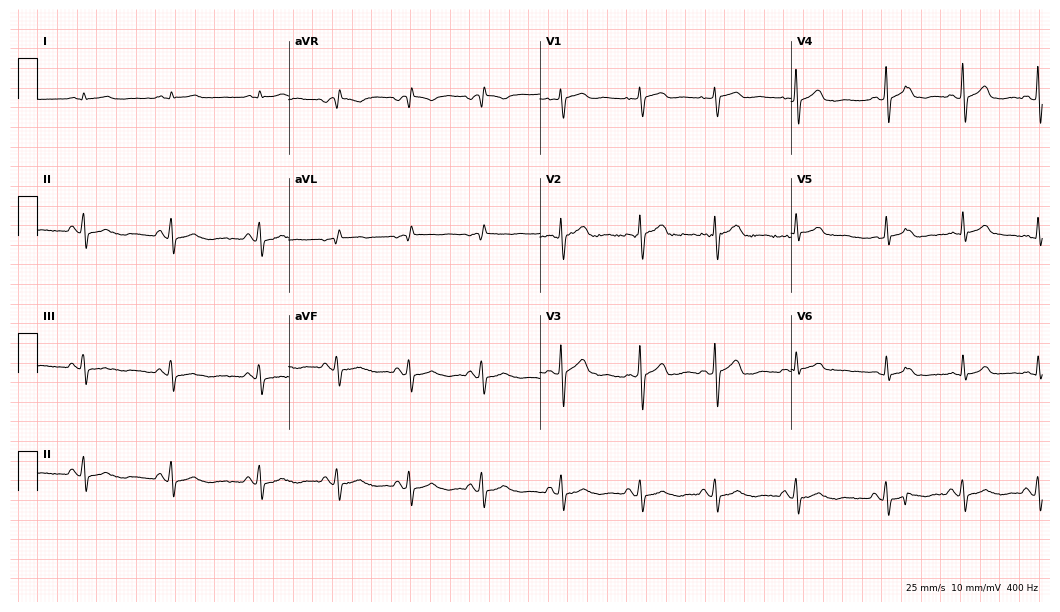
Standard 12-lead ECG recorded from a male, 73 years old (10.2-second recording at 400 Hz). None of these six findings is recorded: first-degree AV block, right bundle branch block, left bundle branch block, sinus bradycardia, atrial fibrillation, sinus tachycardia. Findings outside these six are not listed.